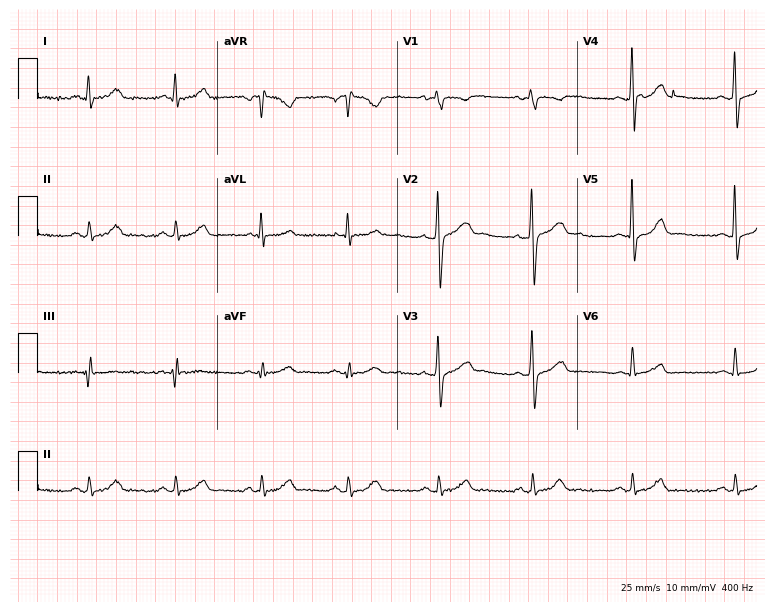
Resting 12-lead electrocardiogram. Patient: a 46-year-old man. Read as a normal ECG.